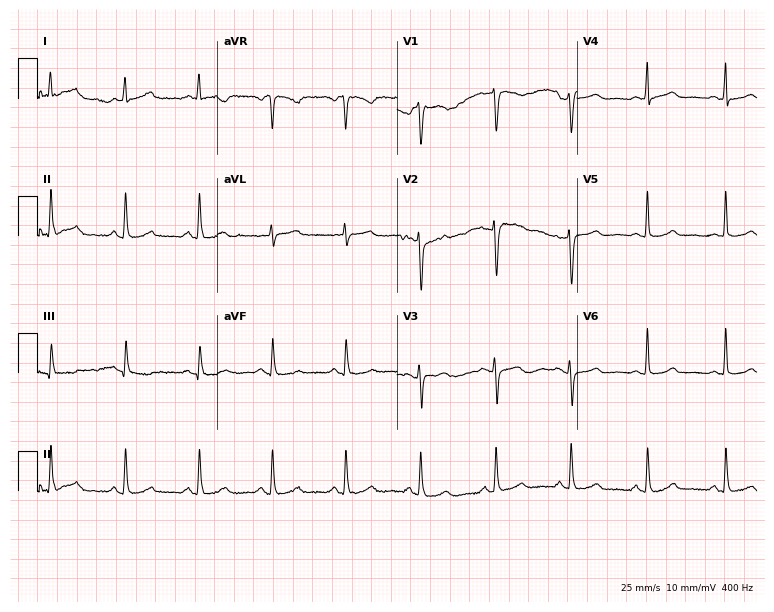
12-lead ECG (7.3-second recording at 400 Hz) from a female patient, 45 years old. Labelled as a normal ECG.